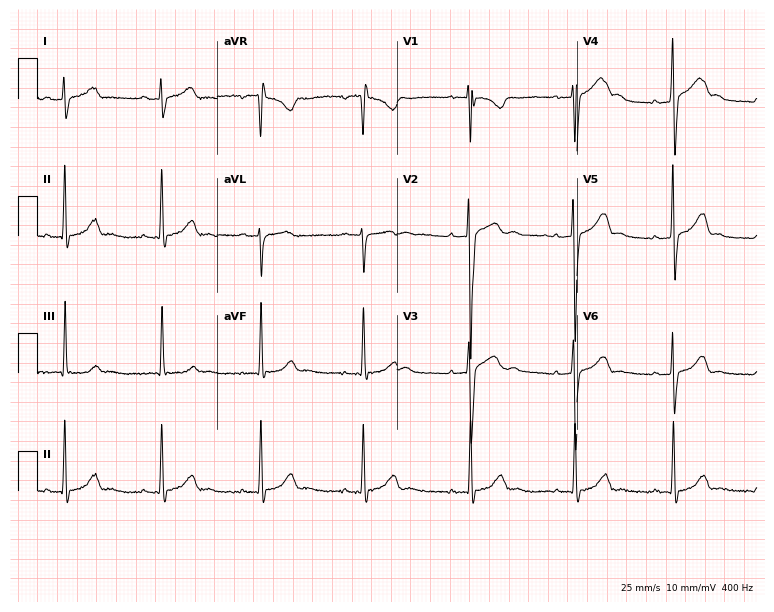
Resting 12-lead electrocardiogram (7.3-second recording at 400 Hz). Patient: a 20-year-old male. Read as a normal ECG.